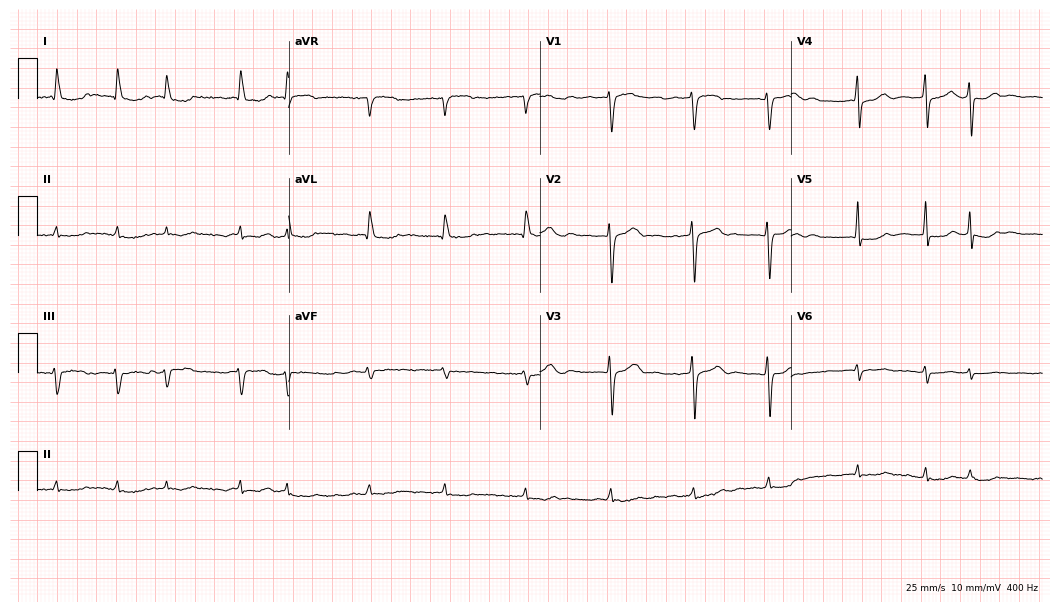
Electrocardiogram (10.2-second recording at 400 Hz), a 73-year-old female patient. Interpretation includes atrial fibrillation (AF).